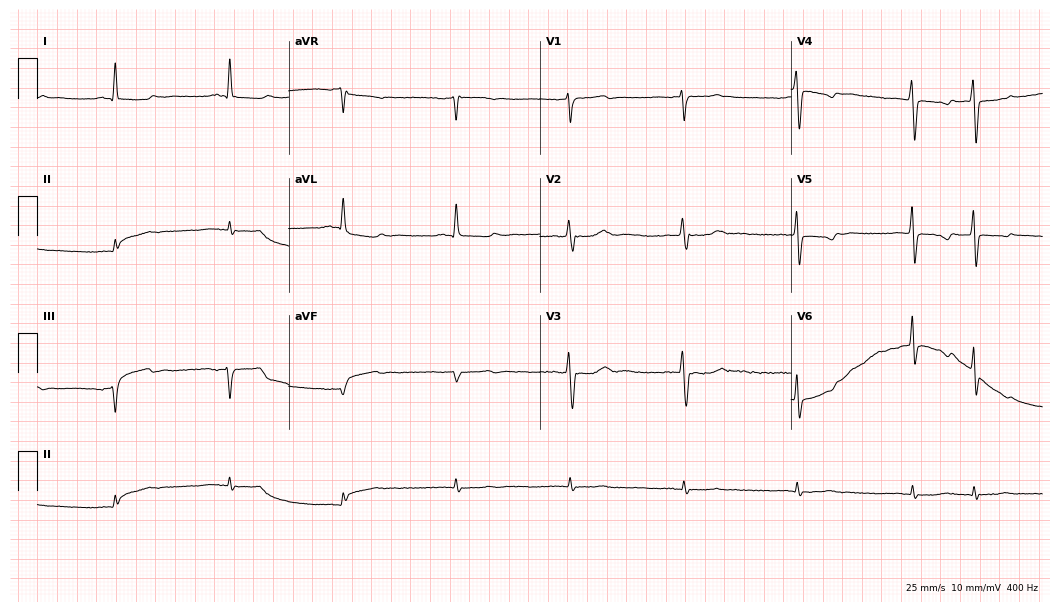
Resting 12-lead electrocardiogram. Patient: a man, 67 years old. Read as a normal ECG.